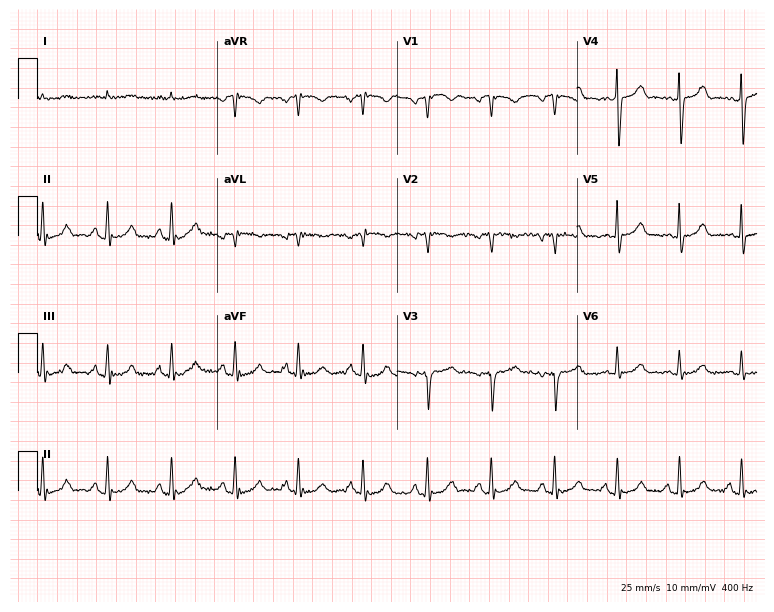
12-lead ECG from a 73-year-old man. Screened for six findings — first-degree AV block, right bundle branch block, left bundle branch block, sinus bradycardia, atrial fibrillation, sinus tachycardia — none is recorded. Findings outside these six are not listed.